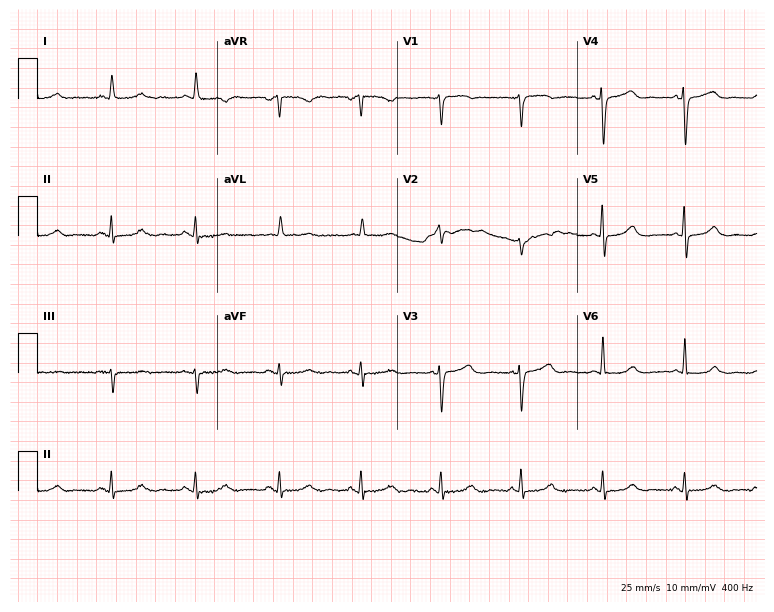
12-lead ECG from a 79-year-old woman. Screened for six findings — first-degree AV block, right bundle branch block, left bundle branch block, sinus bradycardia, atrial fibrillation, sinus tachycardia — none is recorded. Findings outside these six are not listed.